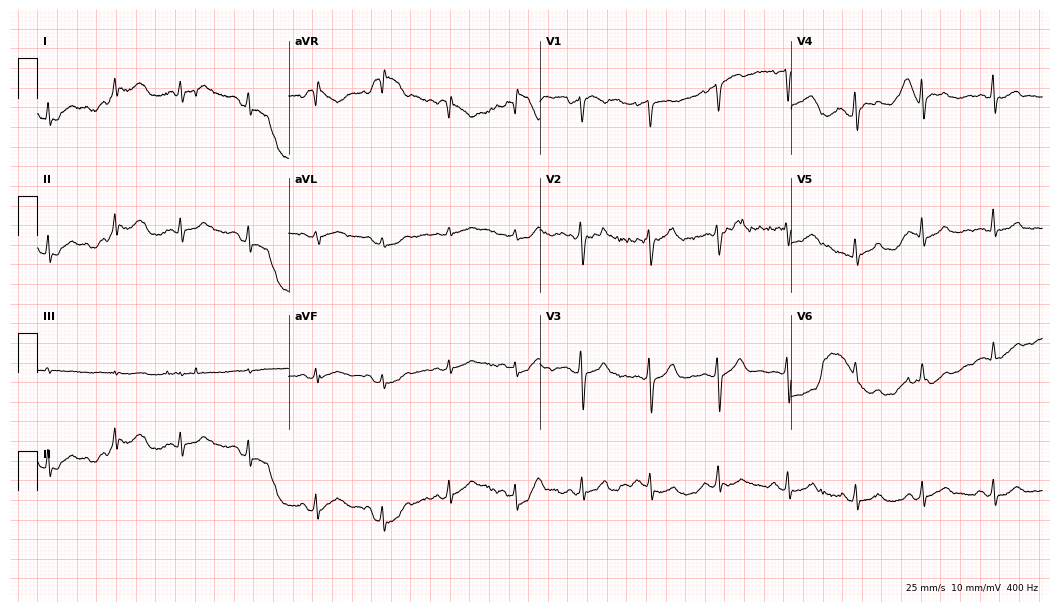
ECG (10.2-second recording at 400 Hz) — a female, 38 years old. Screened for six findings — first-degree AV block, right bundle branch block, left bundle branch block, sinus bradycardia, atrial fibrillation, sinus tachycardia — none is recorded.